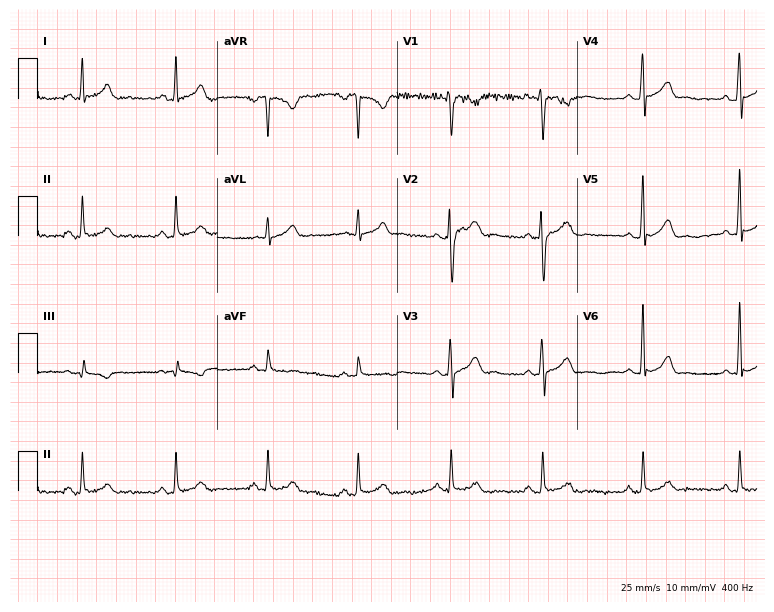
ECG — a 28-year-old male patient. Labelled as a normal ECG.